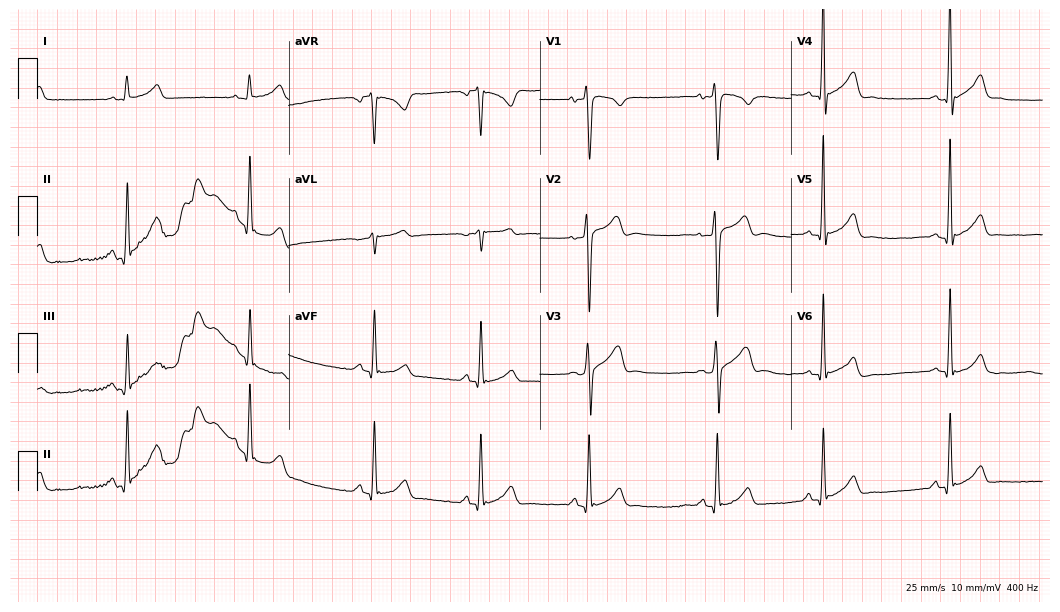
Electrocardiogram, a male, 24 years old. Overall reading on record: normal ECG.